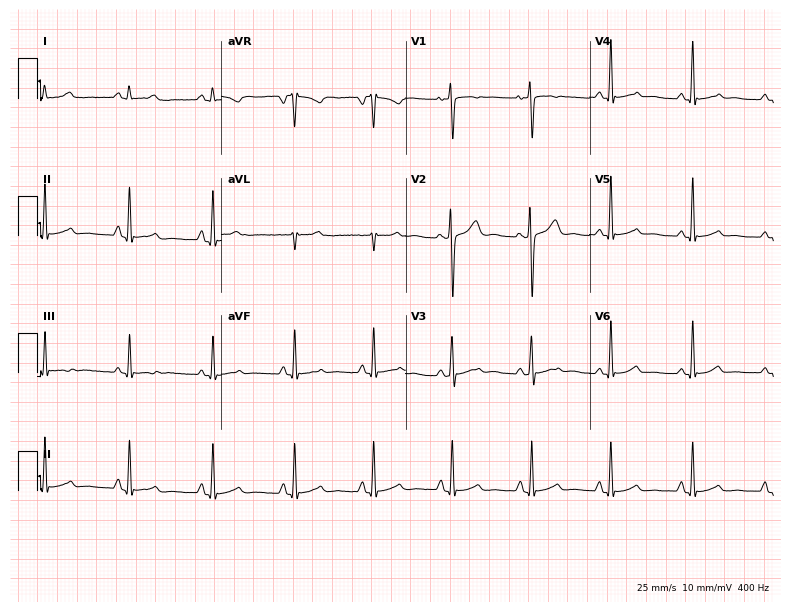
Standard 12-lead ECG recorded from a 32-year-old female patient. None of these six findings is recorded: first-degree AV block, right bundle branch block, left bundle branch block, sinus bradycardia, atrial fibrillation, sinus tachycardia.